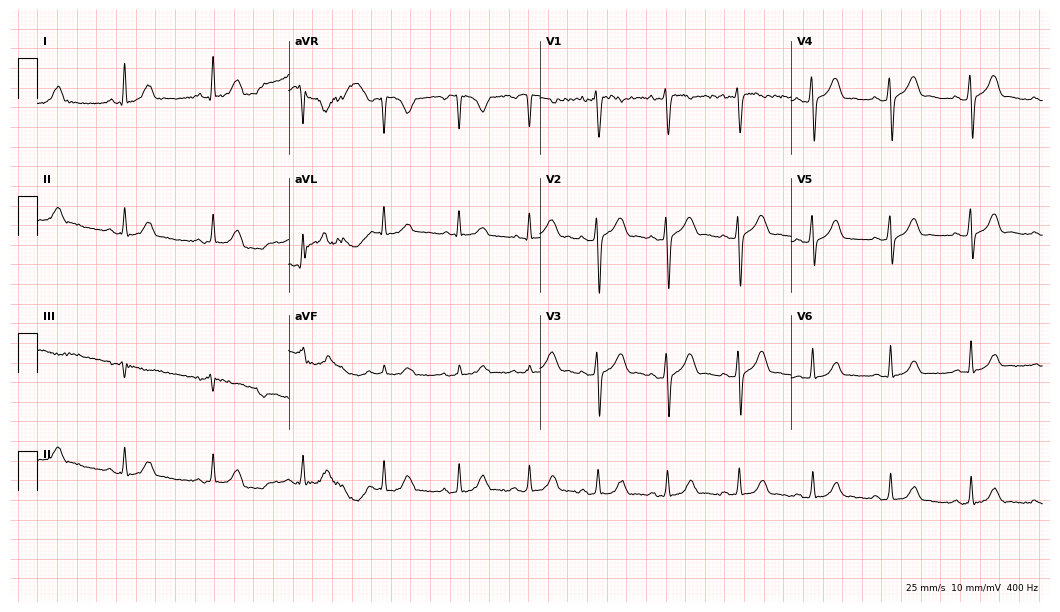
12-lead ECG from a man, 32 years old. Screened for six findings — first-degree AV block, right bundle branch block (RBBB), left bundle branch block (LBBB), sinus bradycardia, atrial fibrillation (AF), sinus tachycardia — none is recorded. Only these six findings were labelled.